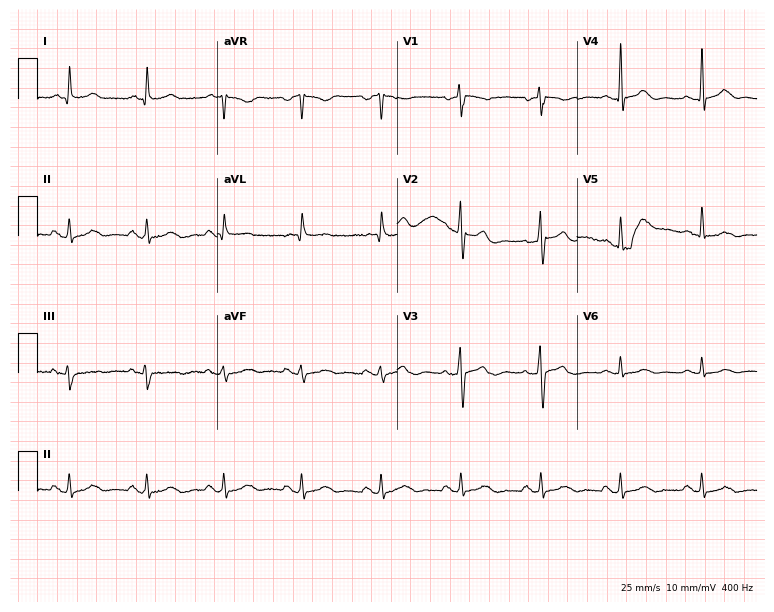
Resting 12-lead electrocardiogram. Patient: a 56-year-old male. None of these six findings is recorded: first-degree AV block, right bundle branch block (RBBB), left bundle branch block (LBBB), sinus bradycardia, atrial fibrillation (AF), sinus tachycardia. Findings outside these six are not listed.